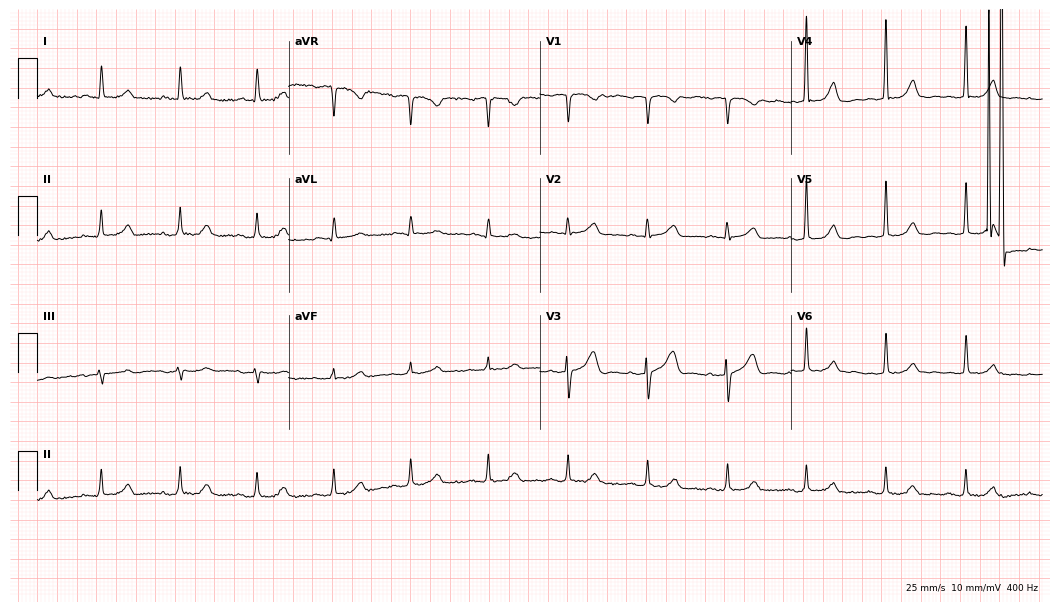
Electrocardiogram (10.2-second recording at 400 Hz), a 56-year-old woman. Overall reading on record: normal ECG.